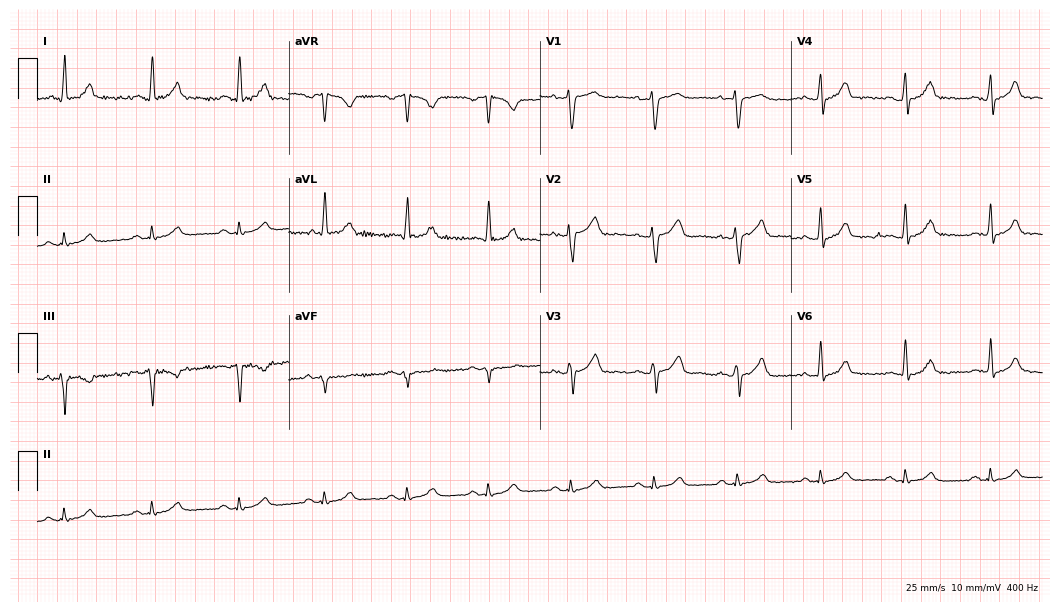
12-lead ECG (10.2-second recording at 400 Hz) from a 42-year-old male patient. Labelled as a normal ECG.